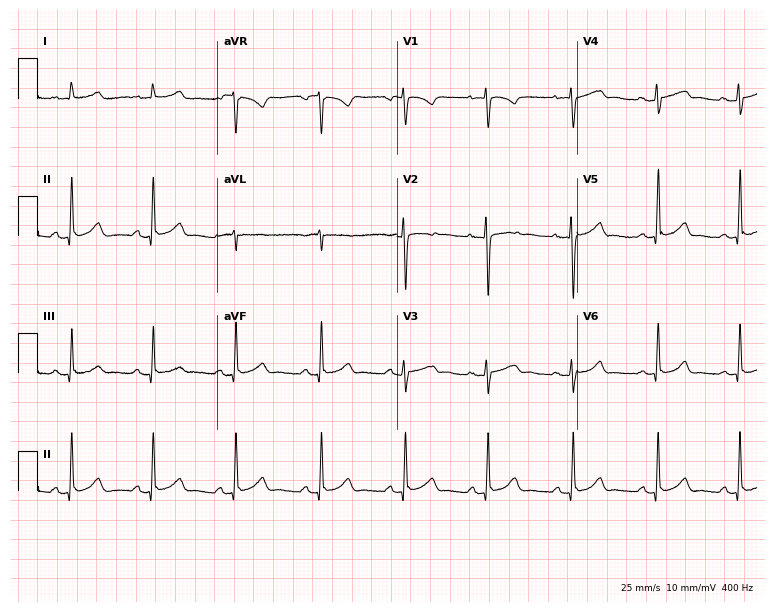
Standard 12-lead ECG recorded from a 26-year-old female patient. None of these six findings is recorded: first-degree AV block, right bundle branch block, left bundle branch block, sinus bradycardia, atrial fibrillation, sinus tachycardia. Other findings, if any, are not listed.